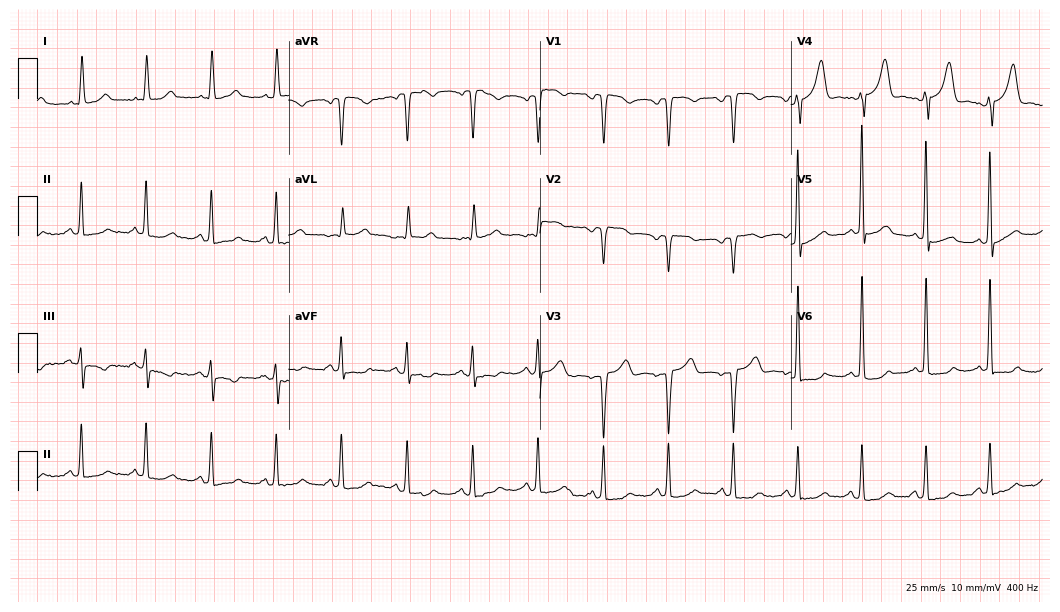
12-lead ECG from a 75-year-old female patient (10.2-second recording at 400 Hz). No first-degree AV block, right bundle branch block, left bundle branch block, sinus bradycardia, atrial fibrillation or sinus tachycardia recorded for this tracing. Other findings, if any, are not listed.